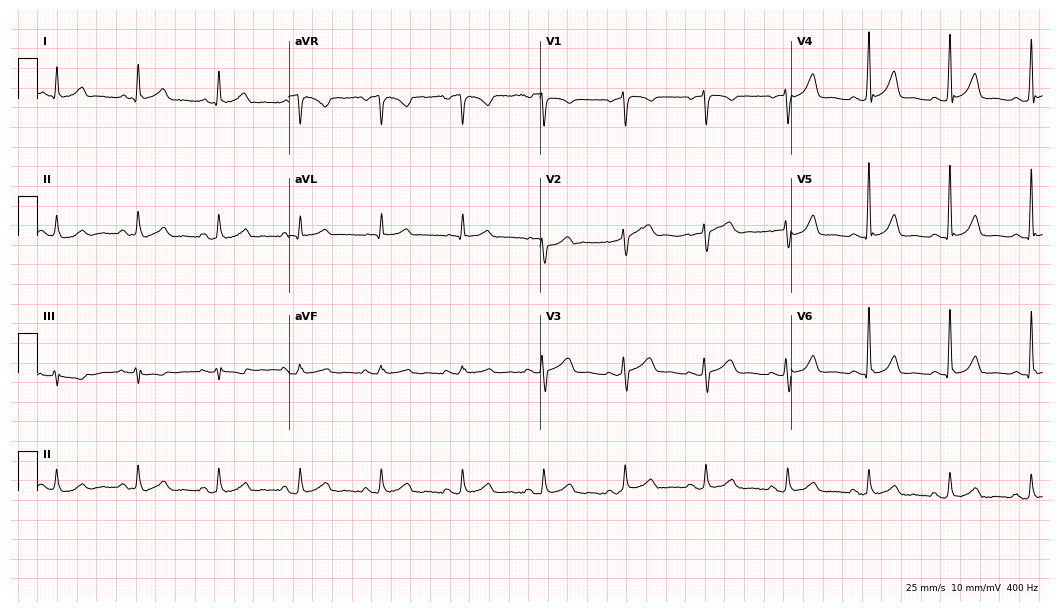
Resting 12-lead electrocardiogram. Patient: a female, 49 years old. None of these six findings is recorded: first-degree AV block, right bundle branch block, left bundle branch block, sinus bradycardia, atrial fibrillation, sinus tachycardia.